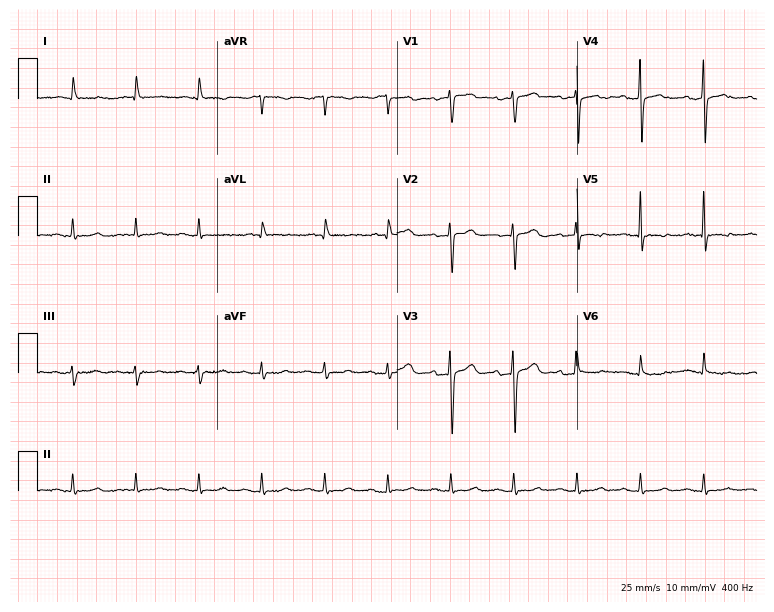
12-lead ECG from a female, 84 years old. Screened for six findings — first-degree AV block, right bundle branch block, left bundle branch block, sinus bradycardia, atrial fibrillation, sinus tachycardia — none is recorded.